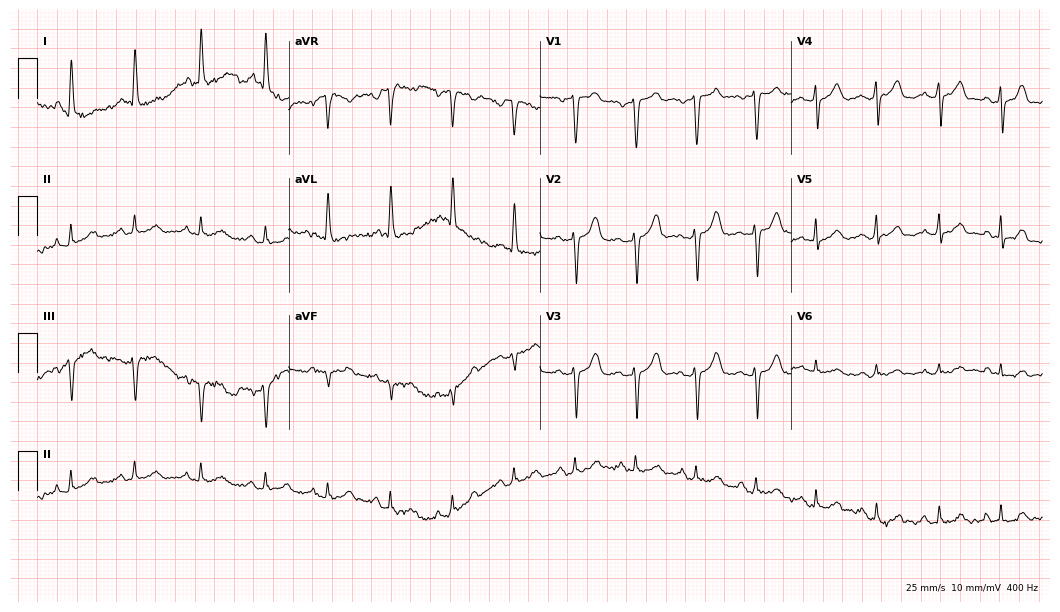
Standard 12-lead ECG recorded from a 58-year-old woman (10.2-second recording at 400 Hz). None of these six findings is recorded: first-degree AV block, right bundle branch block, left bundle branch block, sinus bradycardia, atrial fibrillation, sinus tachycardia. Other findings, if any, are not listed.